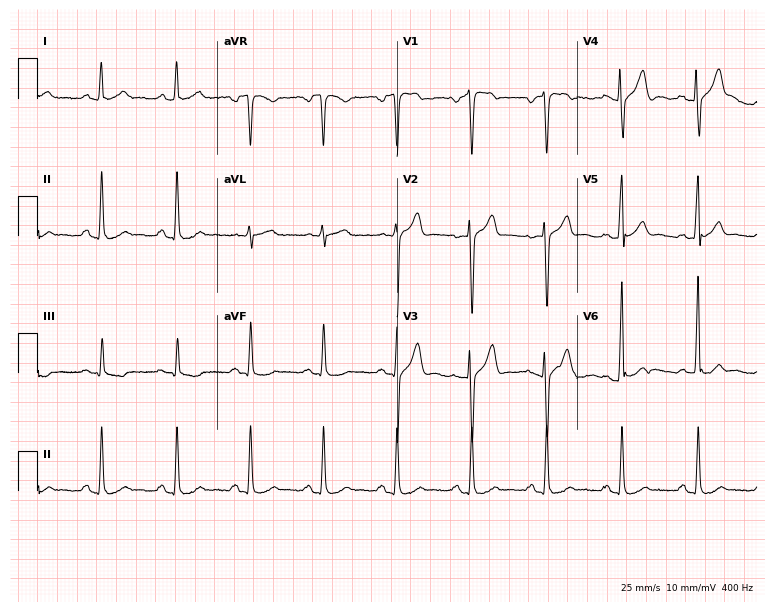
Standard 12-lead ECG recorded from a 41-year-old male patient (7.3-second recording at 400 Hz). None of these six findings is recorded: first-degree AV block, right bundle branch block, left bundle branch block, sinus bradycardia, atrial fibrillation, sinus tachycardia. Only these six findings were labelled.